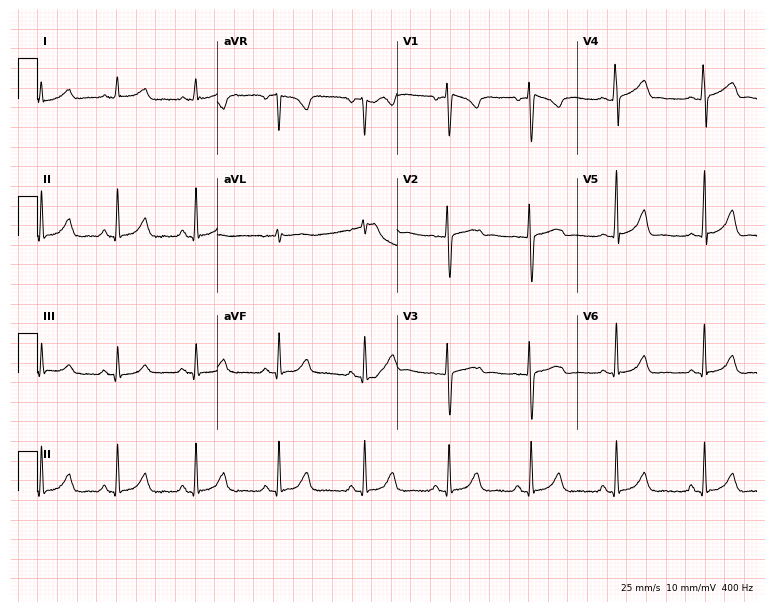
12-lead ECG from a female patient, 42 years old. Screened for six findings — first-degree AV block, right bundle branch block, left bundle branch block, sinus bradycardia, atrial fibrillation, sinus tachycardia — none is recorded. Findings outside these six are not listed.